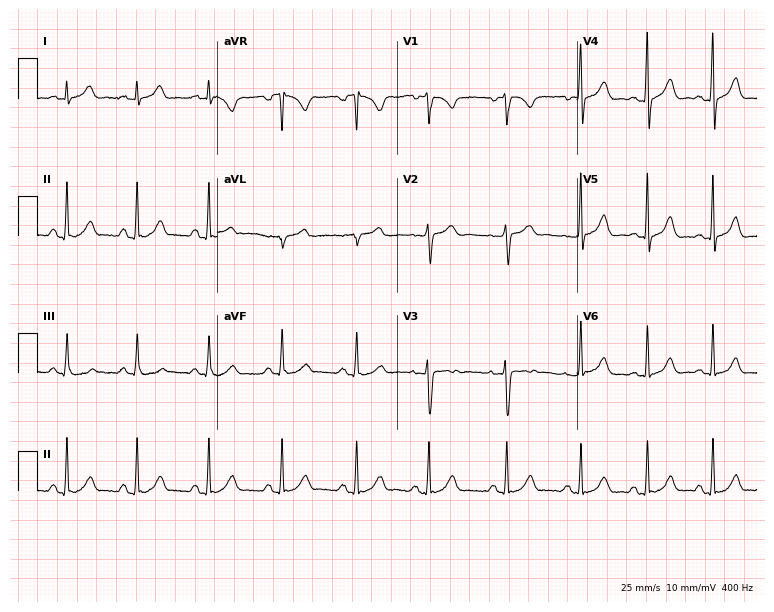
Electrocardiogram (7.3-second recording at 400 Hz), a 20-year-old female patient. Overall reading on record: normal ECG.